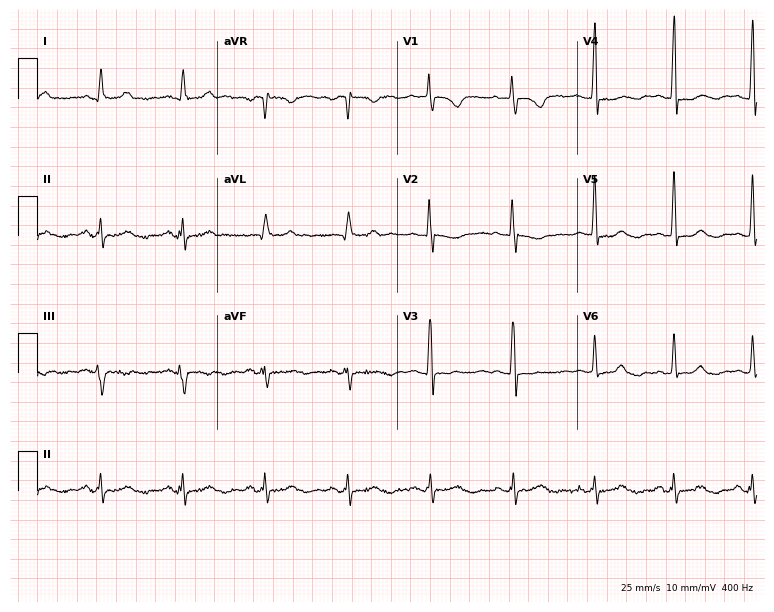
Standard 12-lead ECG recorded from a woman, 64 years old. None of these six findings is recorded: first-degree AV block, right bundle branch block, left bundle branch block, sinus bradycardia, atrial fibrillation, sinus tachycardia.